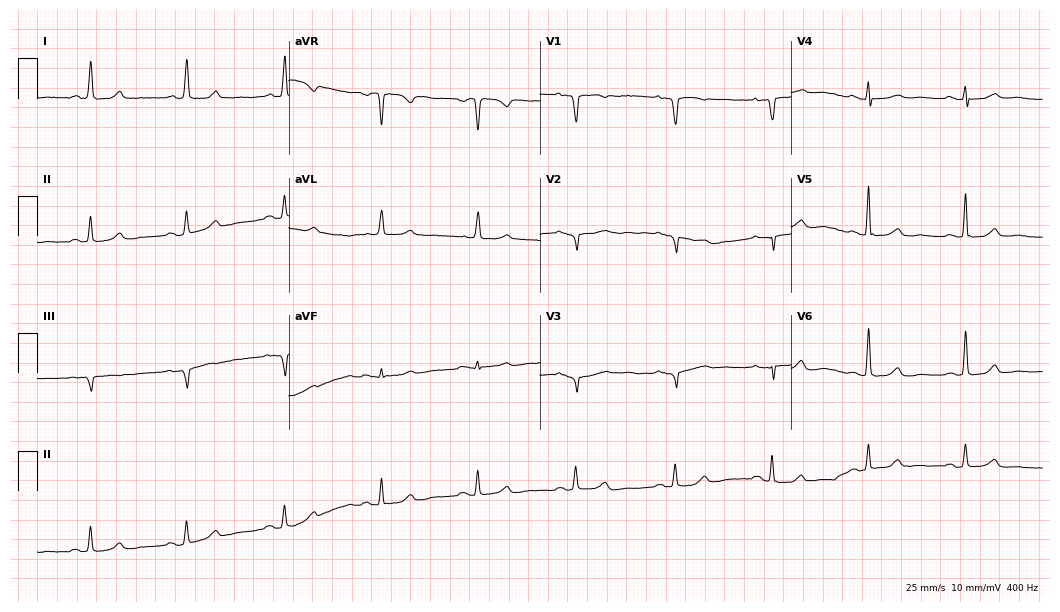
Resting 12-lead electrocardiogram (10.2-second recording at 400 Hz). Patient: a female, 62 years old. Read as a normal ECG.